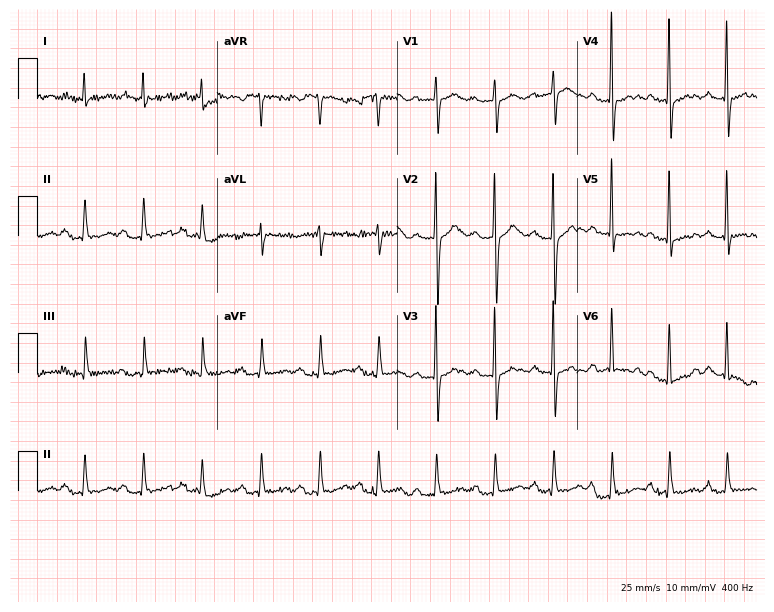
12-lead ECG (7.3-second recording at 400 Hz) from a 69-year-old woman. Screened for six findings — first-degree AV block, right bundle branch block, left bundle branch block, sinus bradycardia, atrial fibrillation, sinus tachycardia — none is recorded. Findings outside these six are not listed.